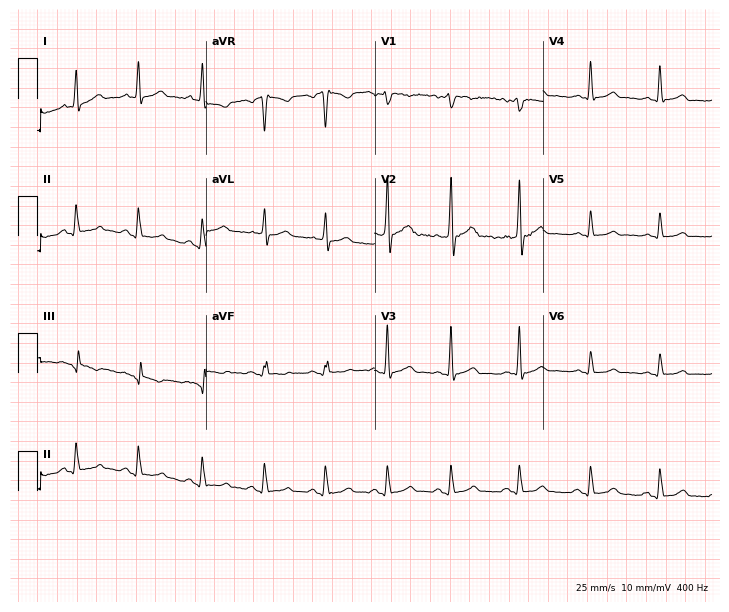
Resting 12-lead electrocardiogram (6.9-second recording at 400 Hz). Patient: a 33-year-old man. Read as a normal ECG.